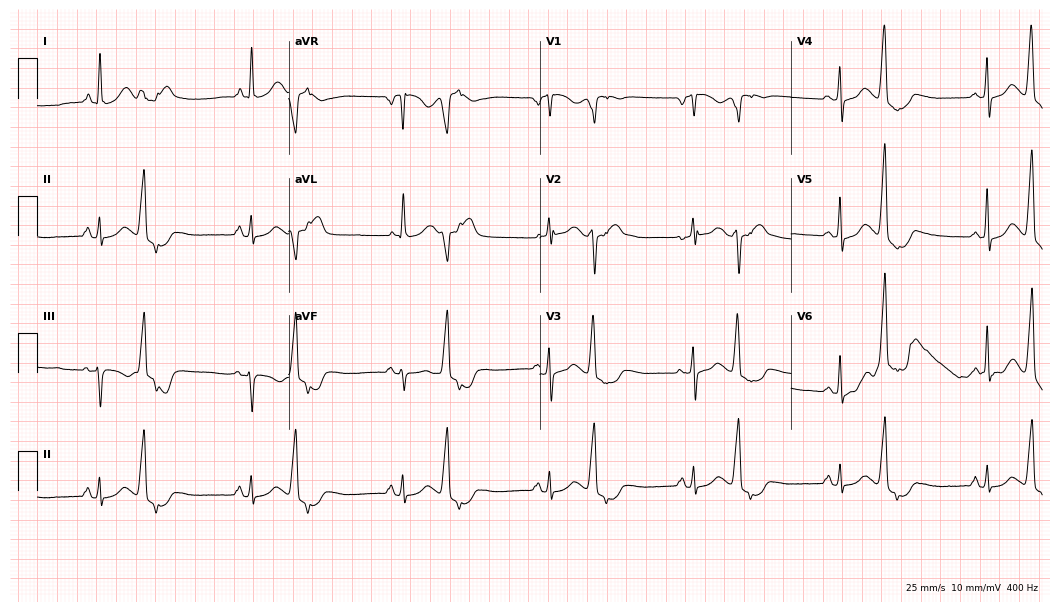
12-lead ECG from a 59-year-old man (10.2-second recording at 400 Hz). No first-degree AV block, right bundle branch block (RBBB), left bundle branch block (LBBB), sinus bradycardia, atrial fibrillation (AF) or sinus tachycardia recorded for this tracing.